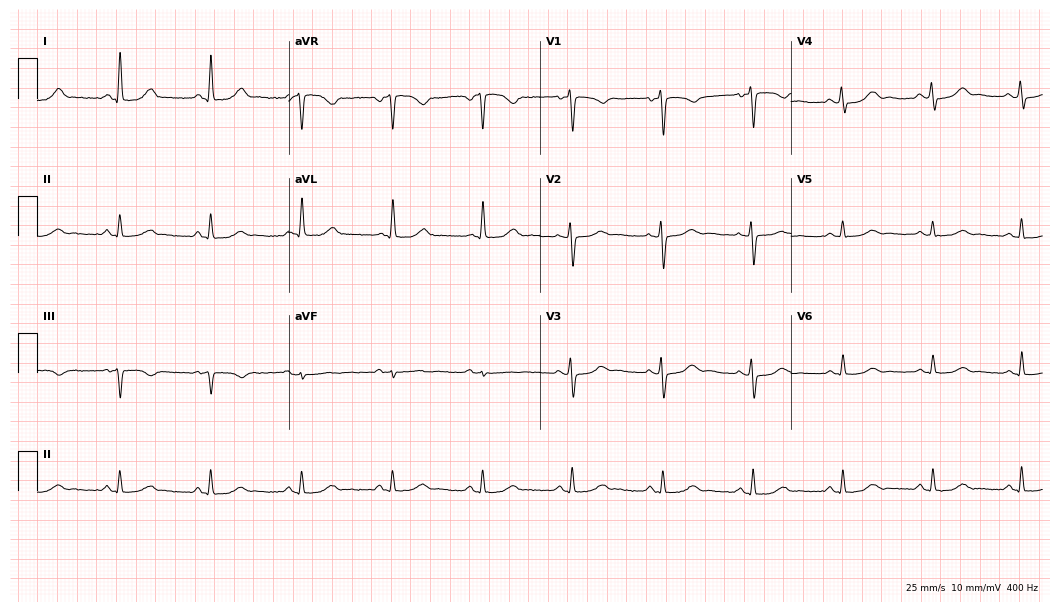
12-lead ECG (10.2-second recording at 400 Hz) from a female, 59 years old. Labelled as a normal ECG.